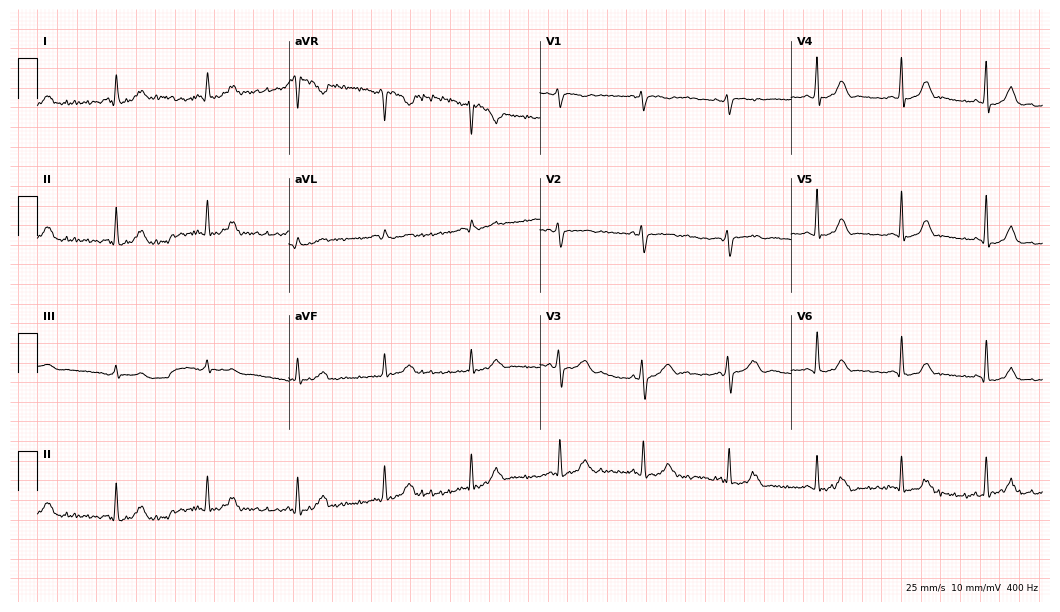
Resting 12-lead electrocardiogram. Patient: a 28-year-old female. None of these six findings is recorded: first-degree AV block, right bundle branch block, left bundle branch block, sinus bradycardia, atrial fibrillation, sinus tachycardia. Findings outside these six are not listed.